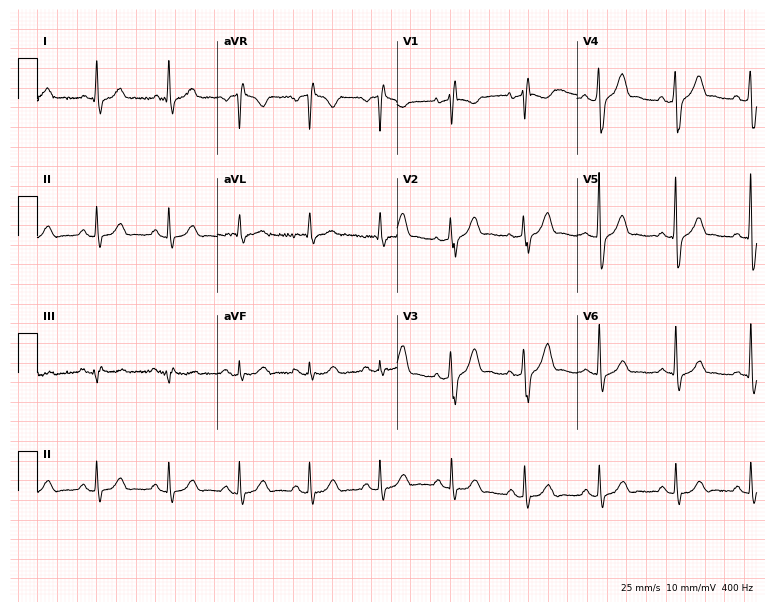
12-lead ECG from a male, 56 years old. Screened for six findings — first-degree AV block, right bundle branch block, left bundle branch block, sinus bradycardia, atrial fibrillation, sinus tachycardia — none is recorded. Findings outside these six are not listed.